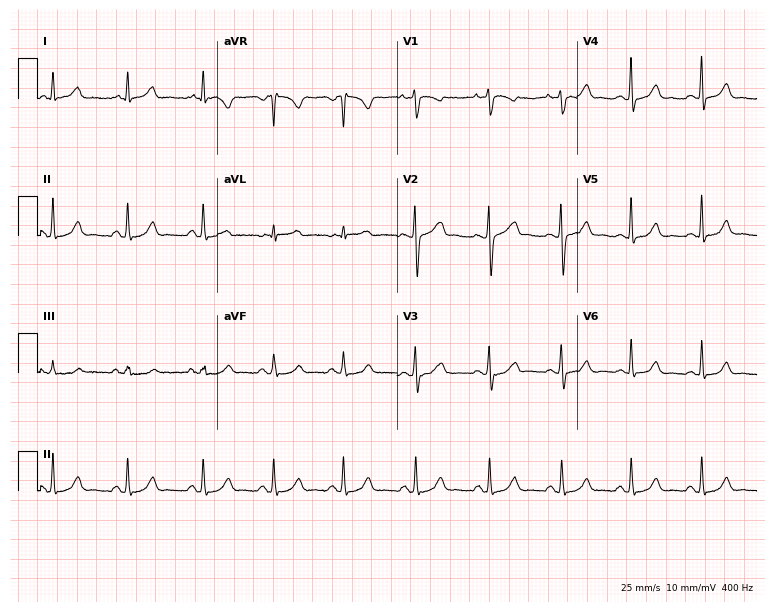
Resting 12-lead electrocardiogram. Patient: a 36-year-old woman. Read as a normal ECG.